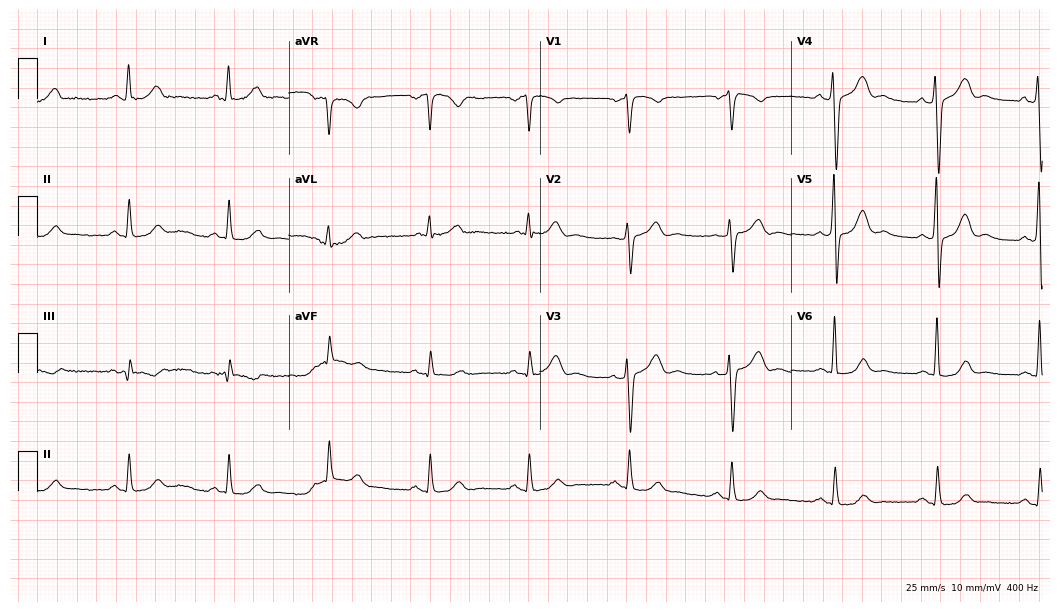
12-lead ECG from a 65-year-old male. No first-degree AV block, right bundle branch block, left bundle branch block, sinus bradycardia, atrial fibrillation or sinus tachycardia recorded for this tracing. Findings outside these six are not listed.